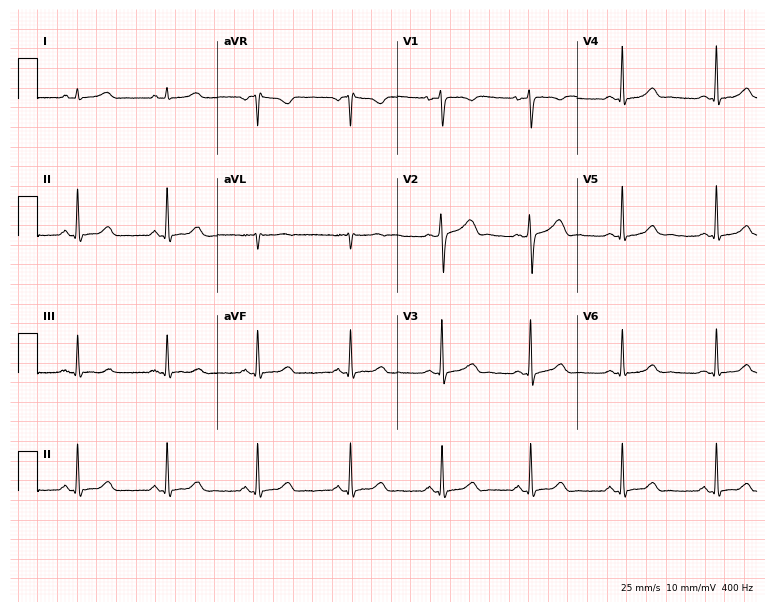
12-lead ECG from a 39-year-old female. Recorded interpretation: within normal limits.